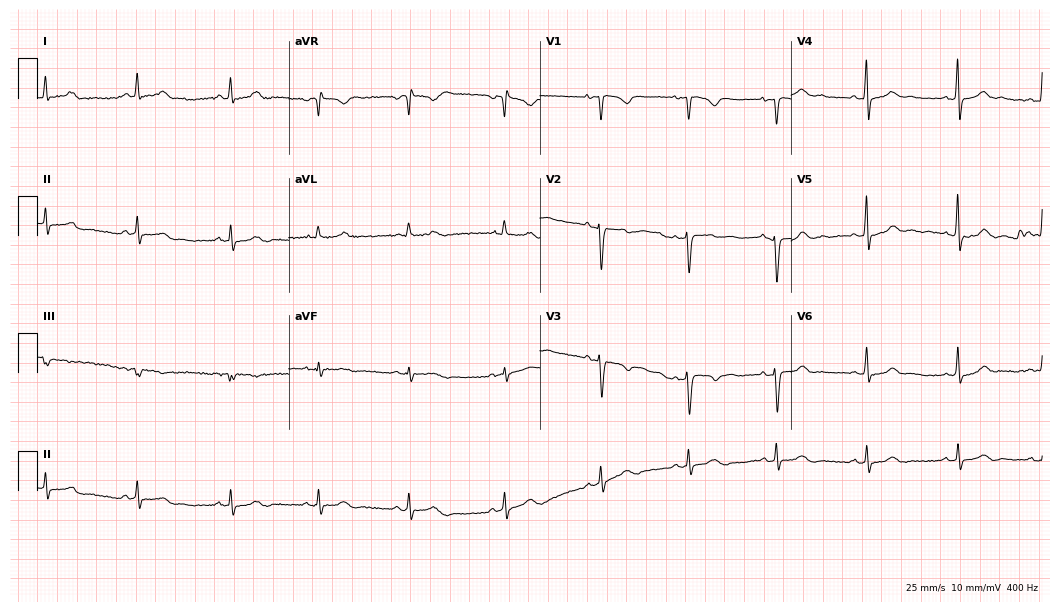
Electrocardiogram, a woman, 32 years old. Overall reading on record: normal ECG.